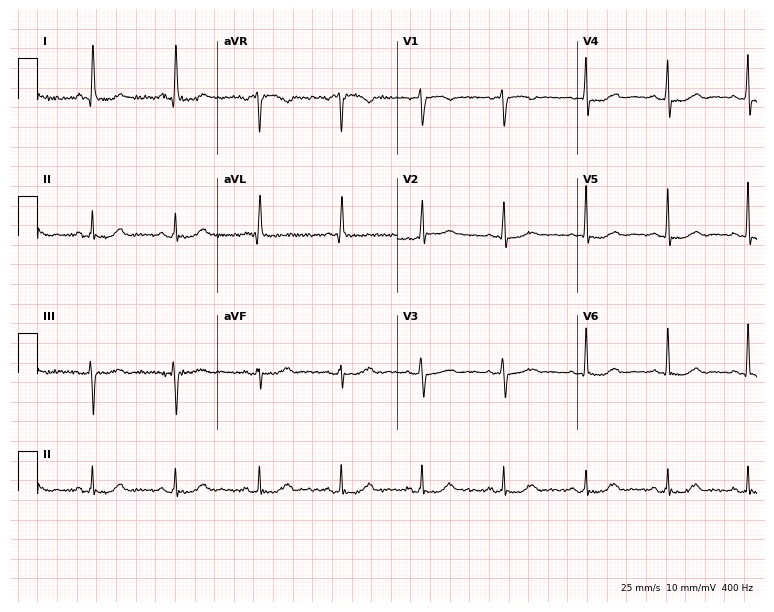
12-lead ECG from a female patient, 79 years old (7.3-second recording at 400 Hz). Recorded interpretation: within normal limits.